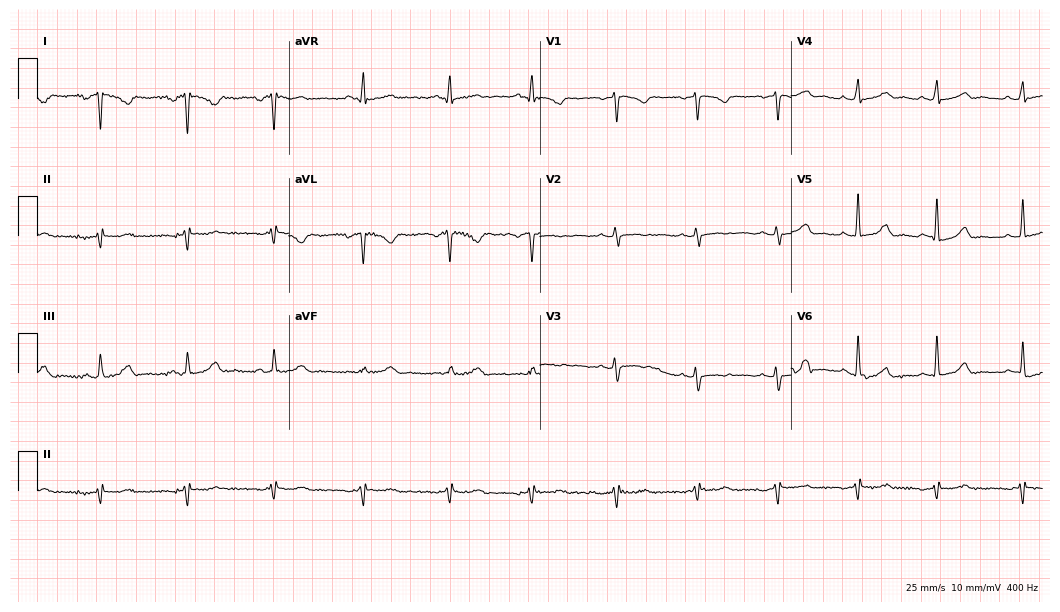
Electrocardiogram, a woman, 41 years old. Of the six screened findings (first-degree AV block, right bundle branch block, left bundle branch block, sinus bradycardia, atrial fibrillation, sinus tachycardia), none is recorded. Other findings, if any, are not listed.